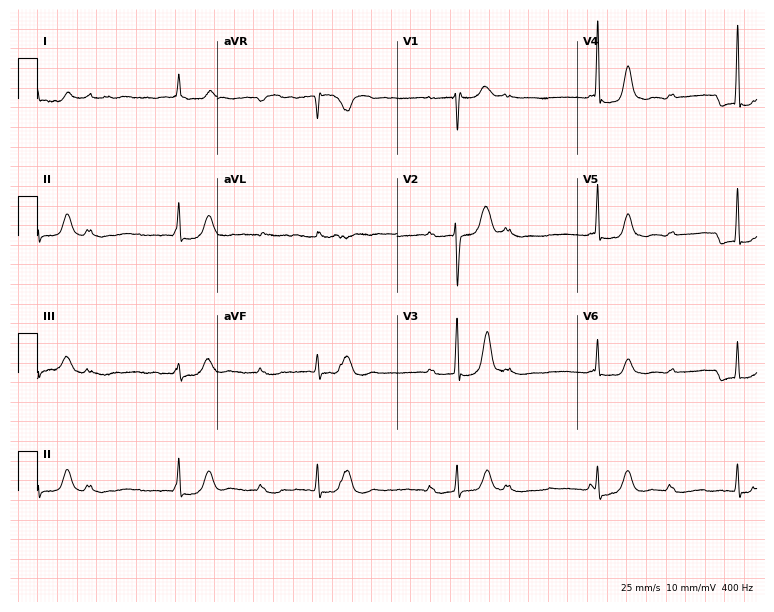
12-lead ECG from a 56-year-old woman. Findings include sinus bradycardia (a sinus rate of 50 beats per minute or less).